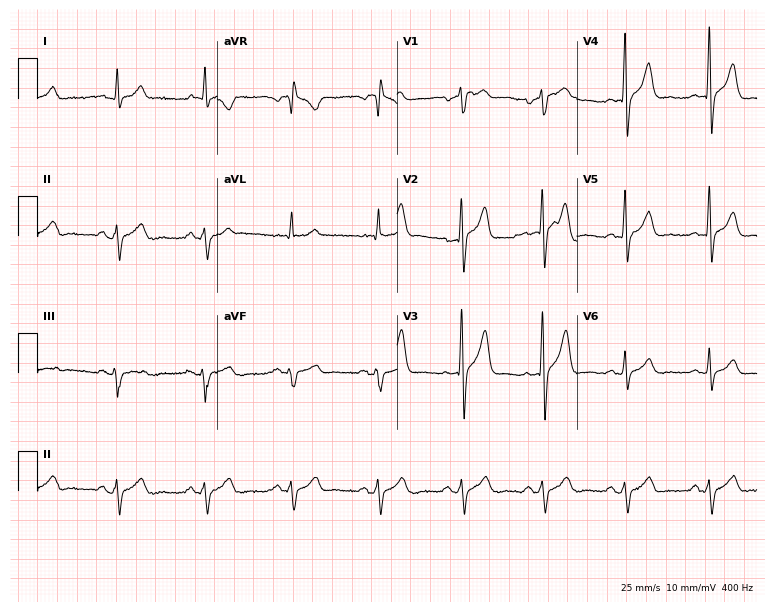
ECG — a 60-year-old female patient. Screened for six findings — first-degree AV block, right bundle branch block, left bundle branch block, sinus bradycardia, atrial fibrillation, sinus tachycardia — none is recorded.